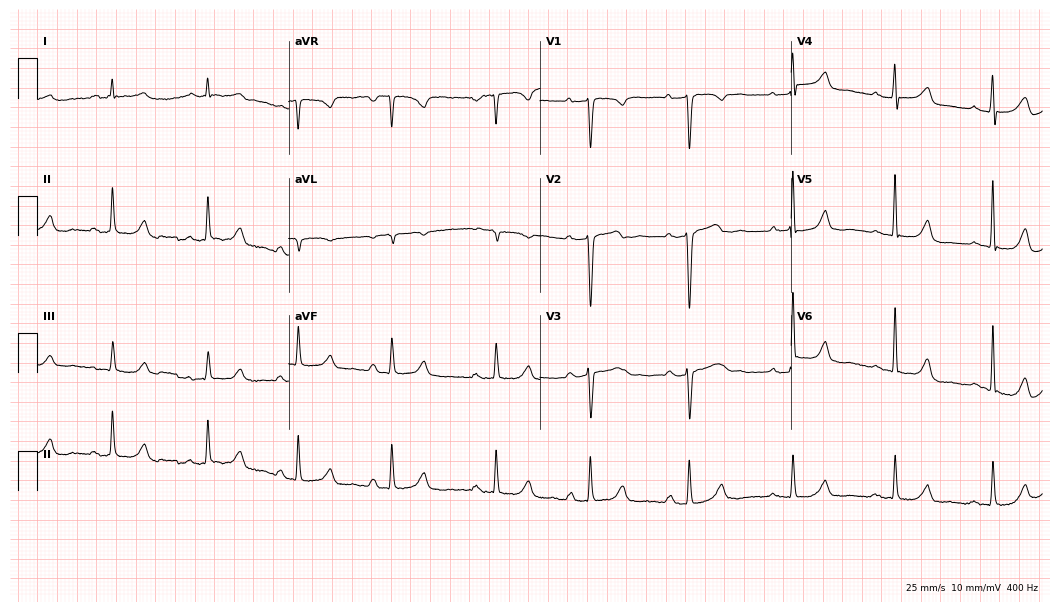
12-lead ECG from a 42-year-old female patient. Findings include first-degree AV block.